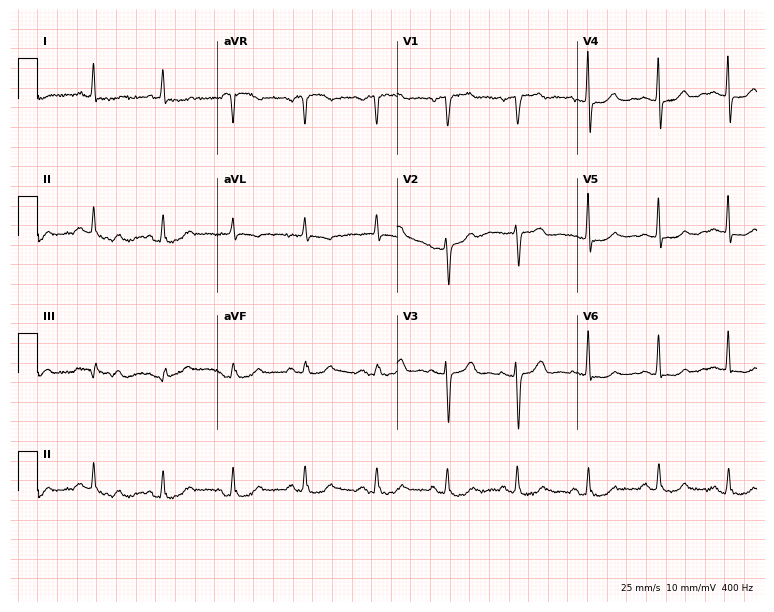
Resting 12-lead electrocardiogram. Patient: a female, 71 years old. None of these six findings is recorded: first-degree AV block, right bundle branch block, left bundle branch block, sinus bradycardia, atrial fibrillation, sinus tachycardia. Findings outside these six are not listed.